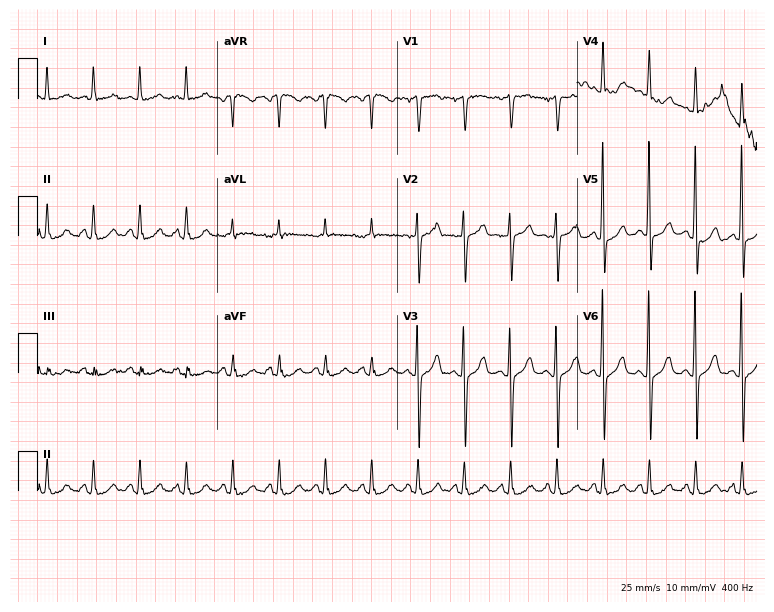
12-lead ECG from a female patient, 59 years old. Findings include sinus tachycardia (a sinus rate of 100 beats per minute or more).